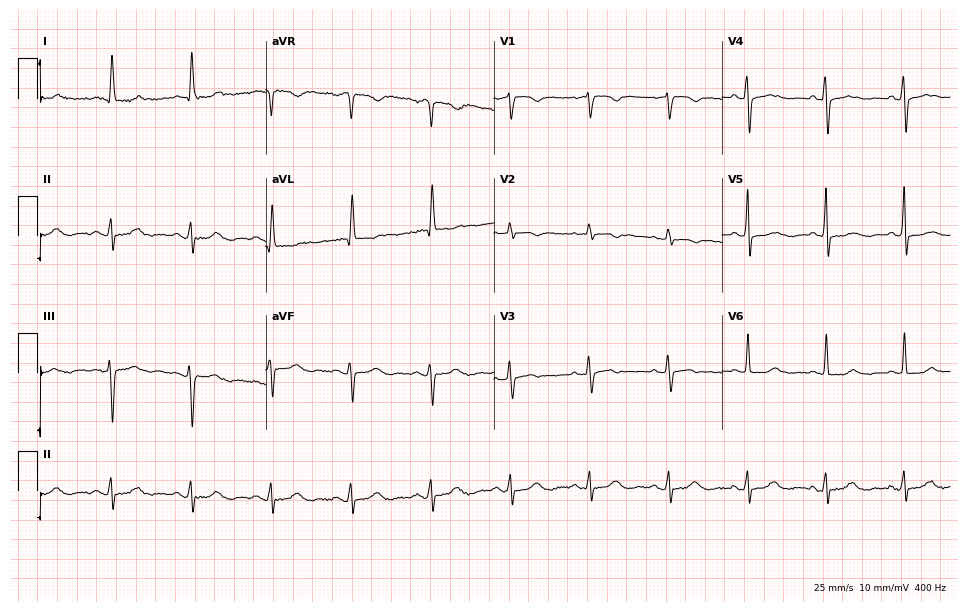
12-lead ECG (9.3-second recording at 400 Hz) from a female, 76 years old. Screened for six findings — first-degree AV block, right bundle branch block, left bundle branch block, sinus bradycardia, atrial fibrillation, sinus tachycardia — none is recorded. Only these six findings were labelled.